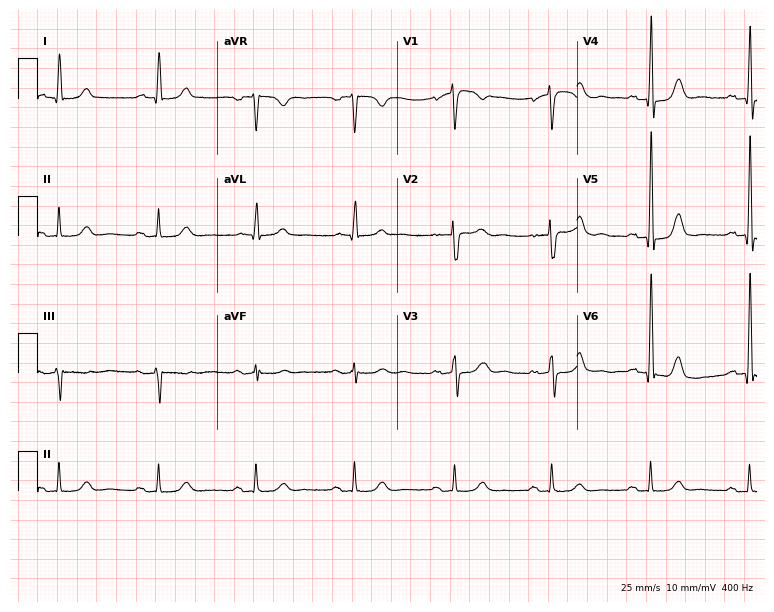
Resting 12-lead electrocardiogram. Patient: a 66-year-old female. None of these six findings is recorded: first-degree AV block, right bundle branch block, left bundle branch block, sinus bradycardia, atrial fibrillation, sinus tachycardia. Other findings, if any, are not listed.